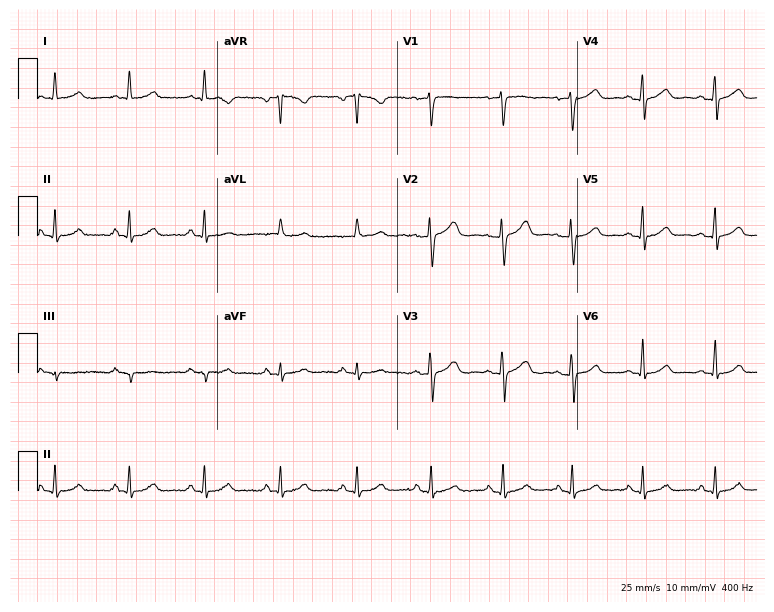
12-lead ECG from a 49-year-old female. No first-degree AV block, right bundle branch block, left bundle branch block, sinus bradycardia, atrial fibrillation or sinus tachycardia recorded for this tracing. Findings outside these six are not listed.